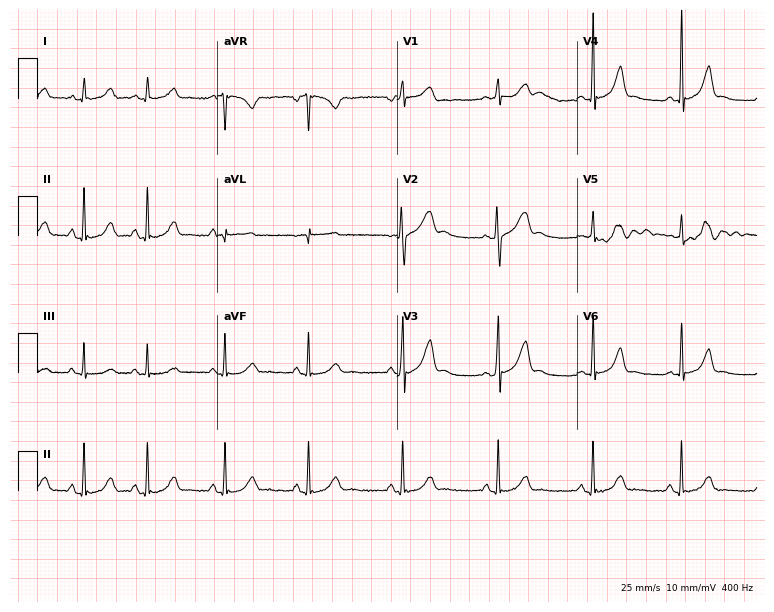
12-lead ECG from a 19-year-old woman. Screened for six findings — first-degree AV block, right bundle branch block, left bundle branch block, sinus bradycardia, atrial fibrillation, sinus tachycardia — none is recorded. Only these six findings were labelled.